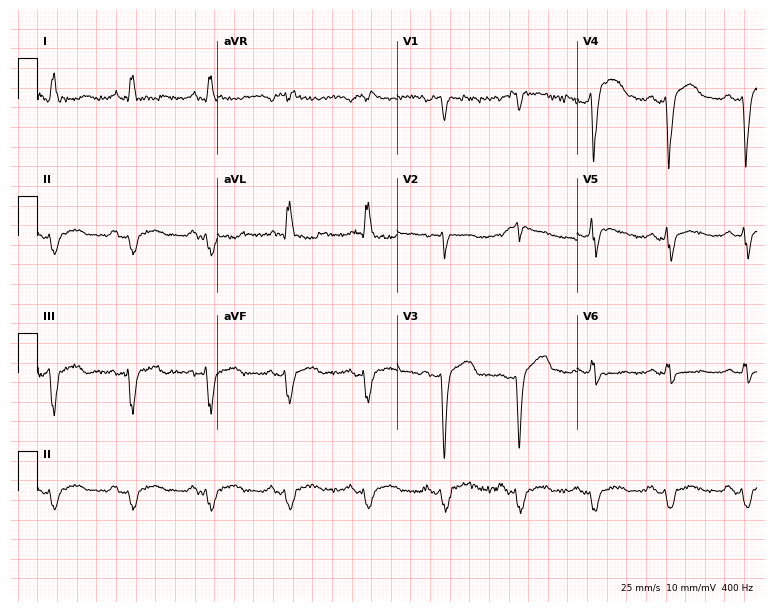
Standard 12-lead ECG recorded from a 61-year-old male. None of these six findings is recorded: first-degree AV block, right bundle branch block, left bundle branch block, sinus bradycardia, atrial fibrillation, sinus tachycardia.